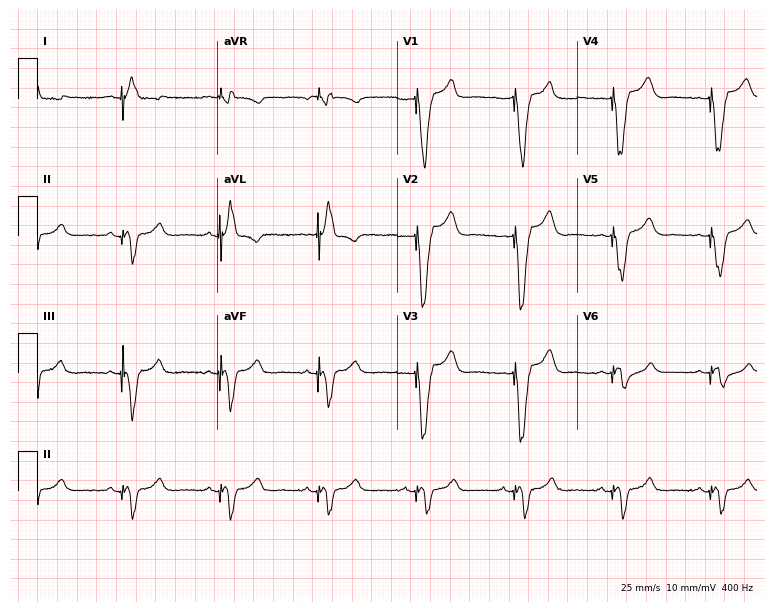
12-lead ECG (7.3-second recording at 400 Hz) from a female, 41 years old. Screened for six findings — first-degree AV block, right bundle branch block, left bundle branch block, sinus bradycardia, atrial fibrillation, sinus tachycardia — none is recorded. Other findings, if any, are not listed.